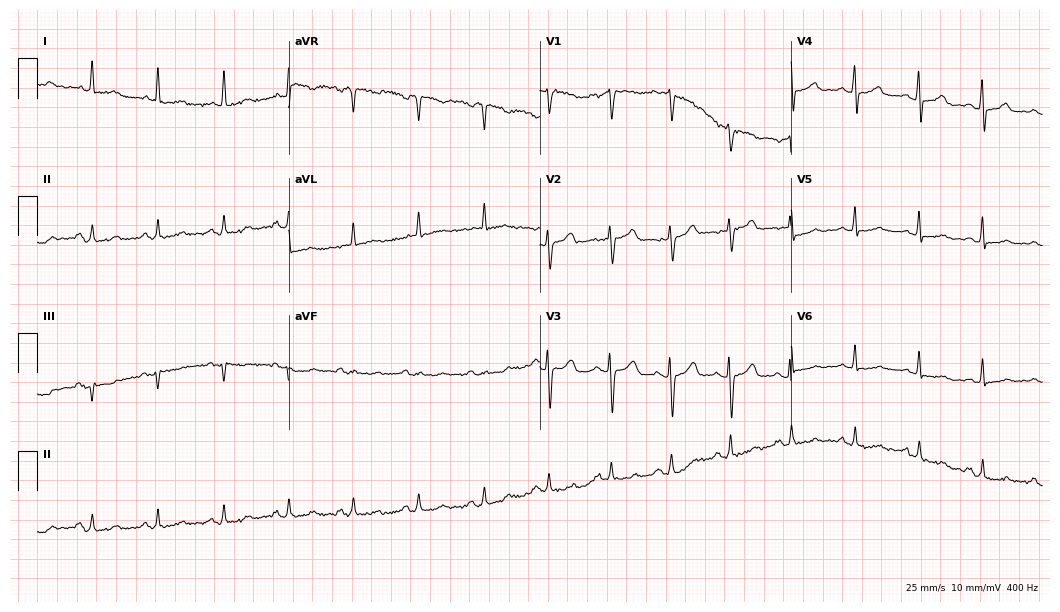
Resting 12-lead electrocardiogram. Patient: a woman, 81 years old. None of these six findings is recorded: first-degree AV block, right bundle branch block (RBBB), left bundle branch block (LBBB), sinus bradycardia, atrial fibrillation (AF), sinus tachycardia. Only these six findings were labelled.